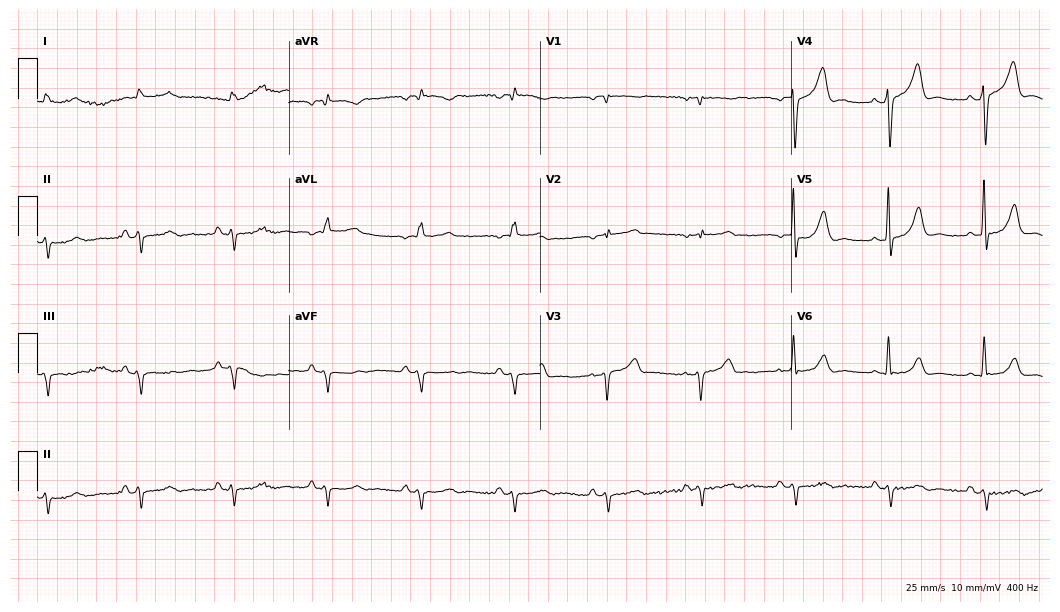
Electrocardiogram, a male, 85 years old. Of the six screened findings (first-degree AV block, right bundle branch block, left bundle branch block, sinus bradycardia, atrial fibrillation, sinus tachycardia), none is recorded.